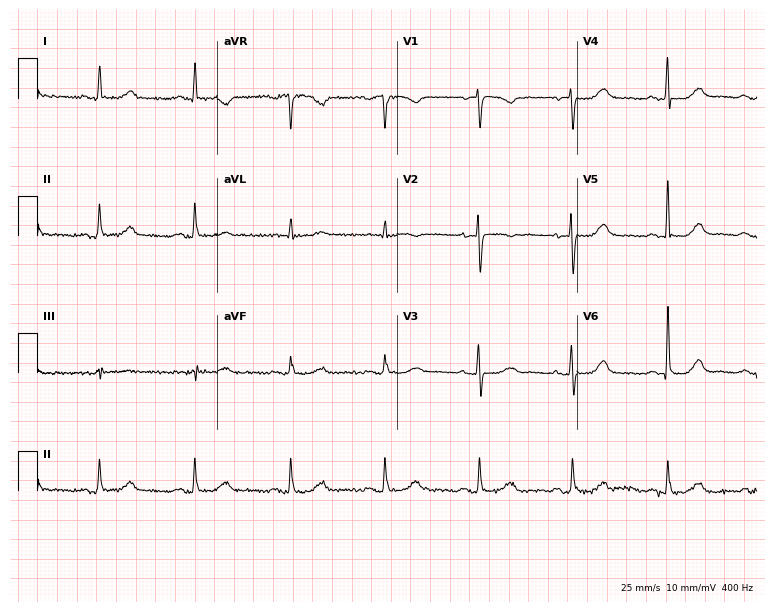
12-lead ECG from a female patient, 69 years old (7.3-second recording at 400 Hz). Recorded interpretation: within normal limits.